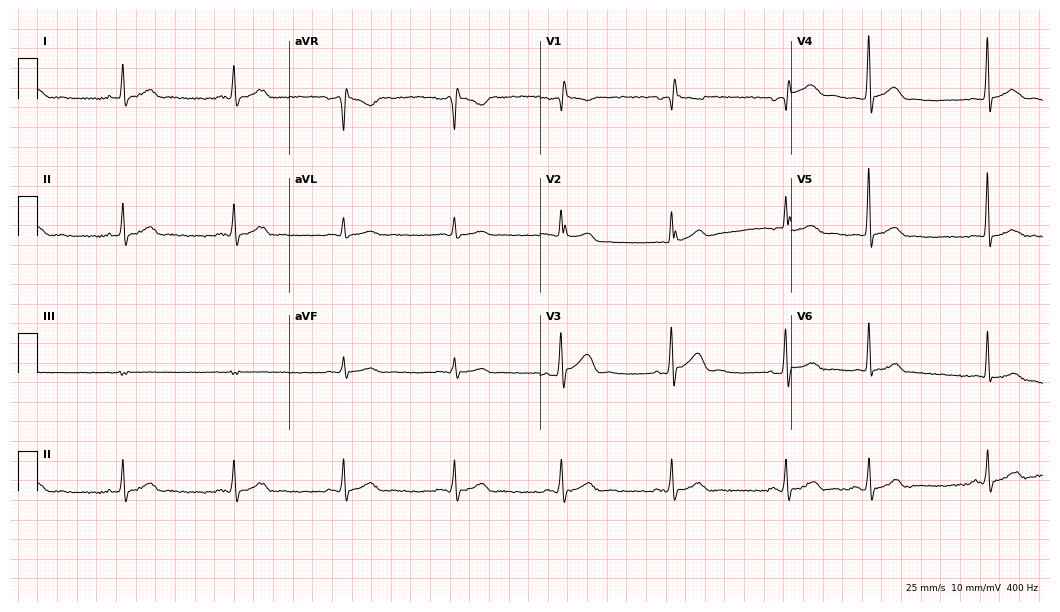
ECG — a man, 78 years old. Screened for six findings — first-degree AV block, right bundle branch block (RBBB), left bundle branch block (LBBB), sinus bradycardia, atrial fibrillation (AF), sinus tachycardia — none is recorded.